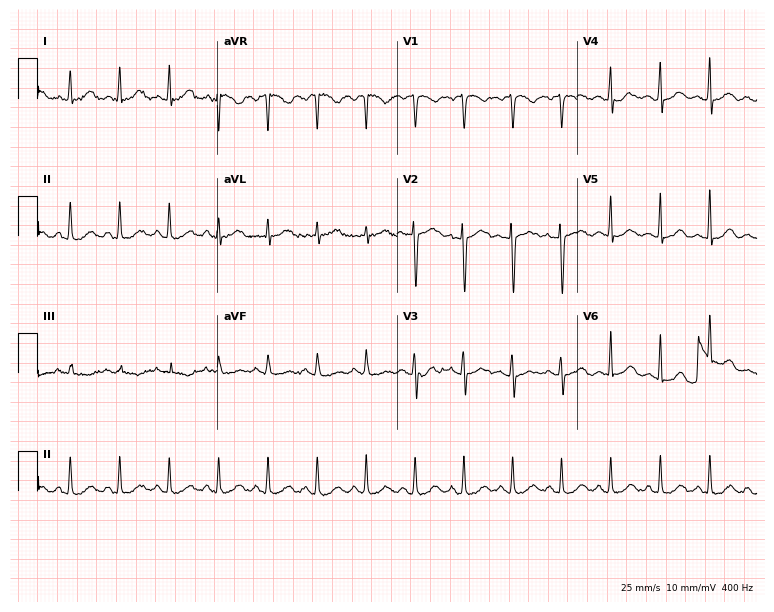
Electrocardiogram, a 43-year-old female patient. Interpretation includes sinus tachycardia (a sinus rate of 100 beats per minute or more).